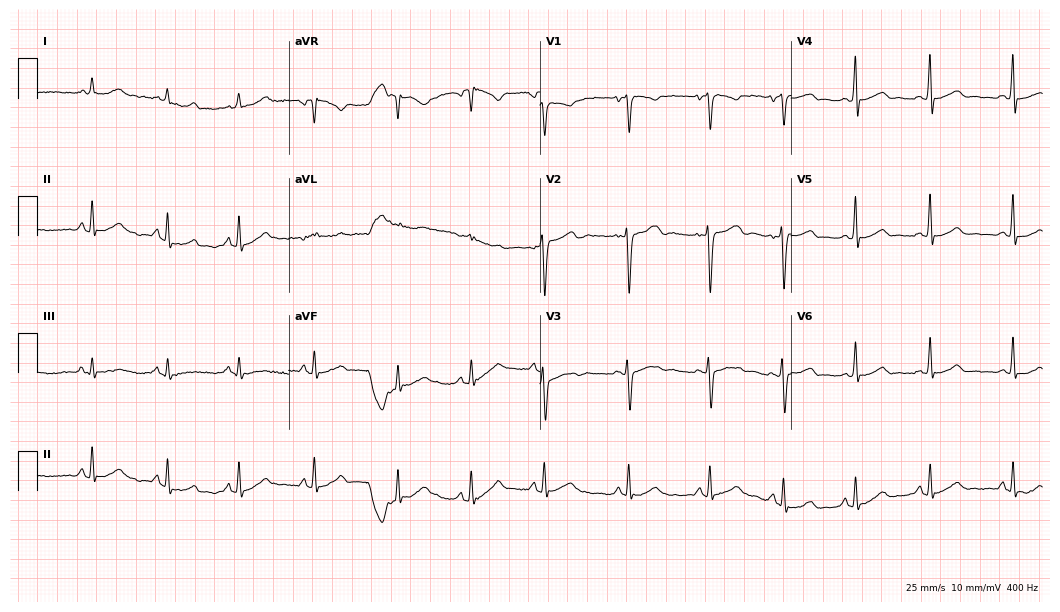
Standard 12-lead ECG recorded from a 19-year-old woman. Read as a normal ECG.